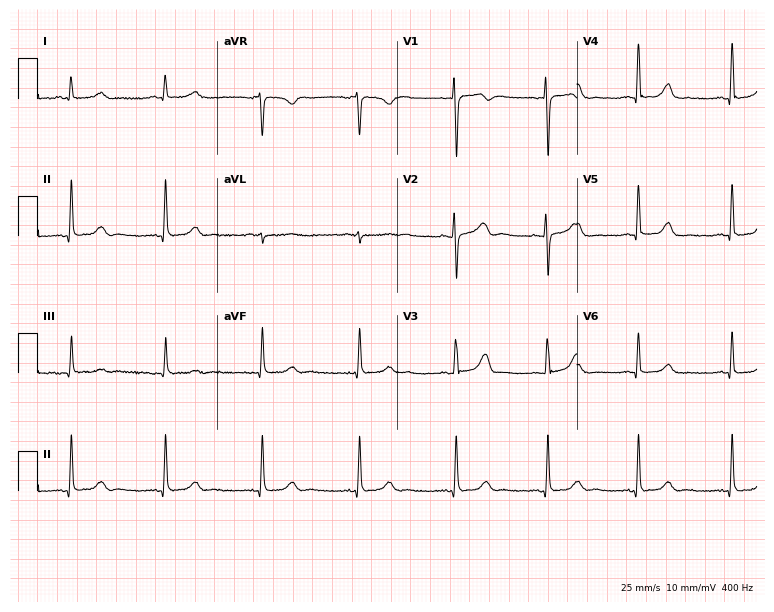
Standard 12-lead ECG recorded from a female, 55 years old. Read as a normal ECG.